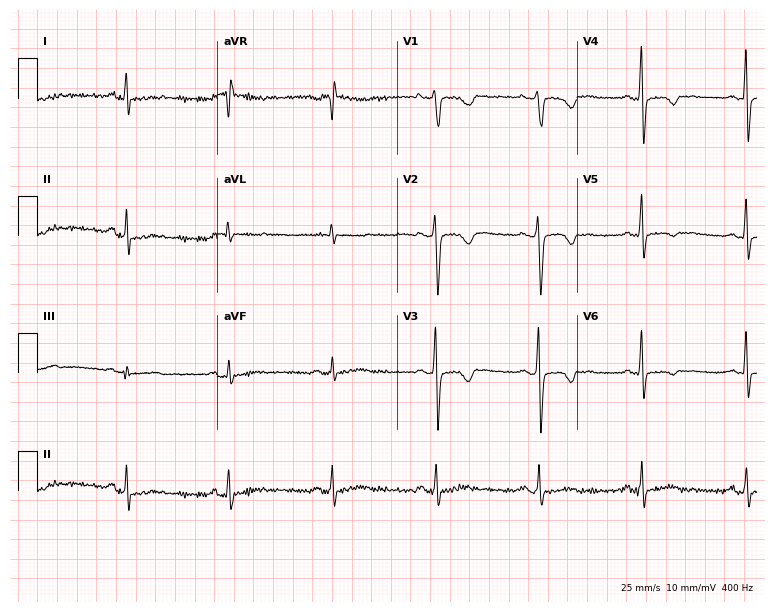
12-lead ECG from a female patient, 44 years old. No first-degree AV block, right bundle branch block, left bundle branch block, sinus bradycardia, atrial fibrillation or sinus tachycardia recorded for this tracing.